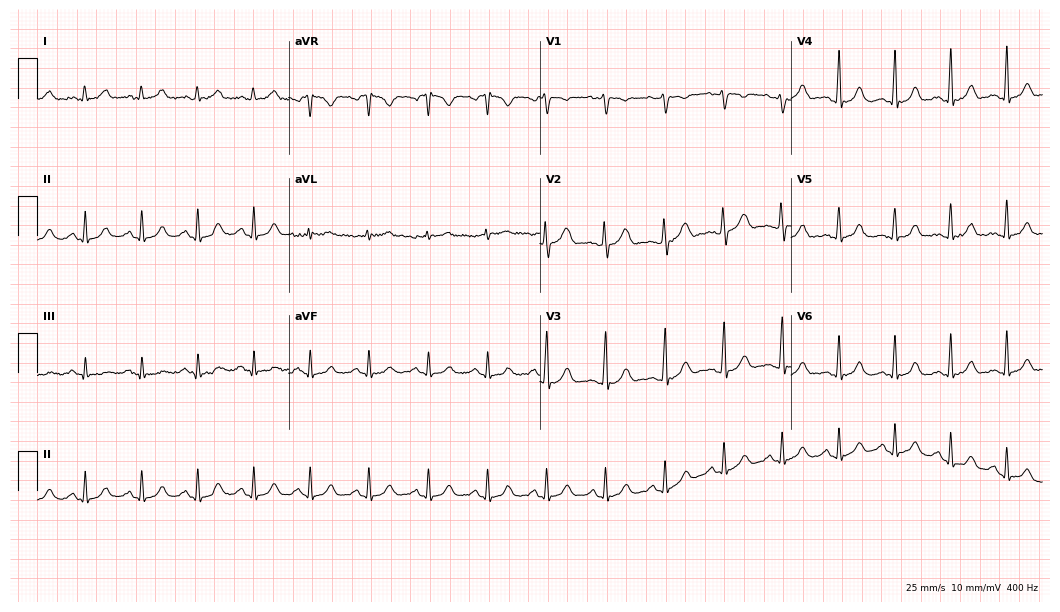
Electrocardiogram, a woman, 37 years old. Interpretation includes sinus tachycardia (a sinus rate of 100 beats per minute or more).